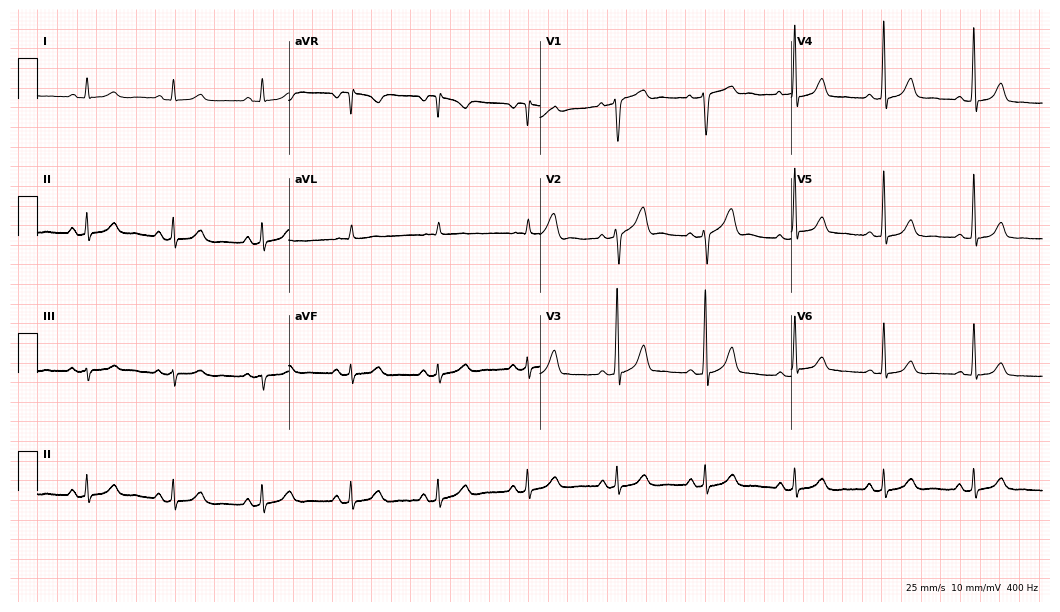
Standard 12-lead ECG recorded from a 66-year-old man. Read as a normal ECG.